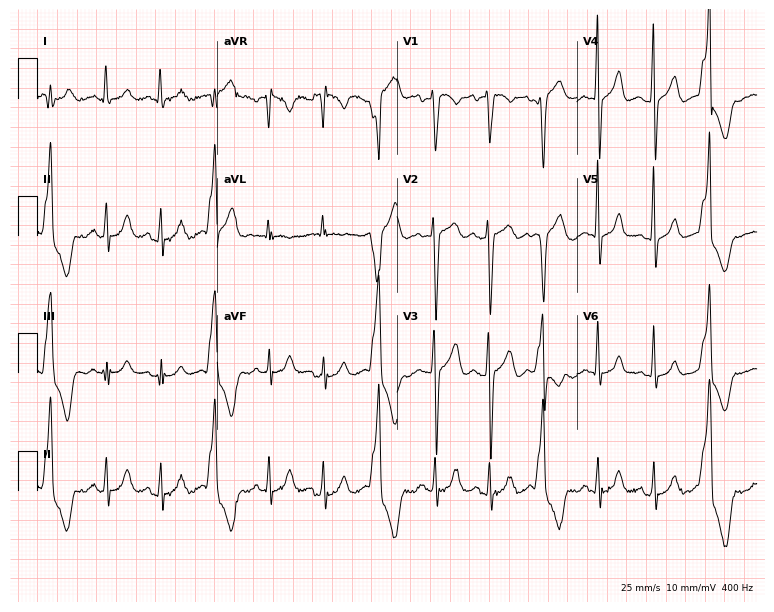
Standard 12-lead ECG recorded from a 21-year-old male patient (7.3-second recording at 400 Hz). The tracing shows sinus tachycardia (a sinus rate of 100 beats per minute or more).